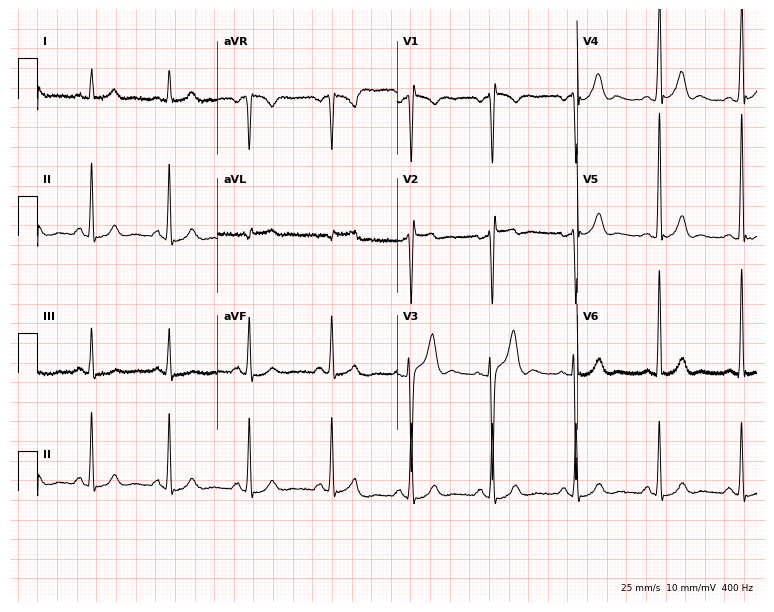
ECG — a 32-year-old female. Screened for six findings — first-degree AV block, right bundle branch block, left bundle branch block, sinus bradycardia, atrial fibrillation, sinus tachycardia — none is recorded. Only these six findings were labelled.